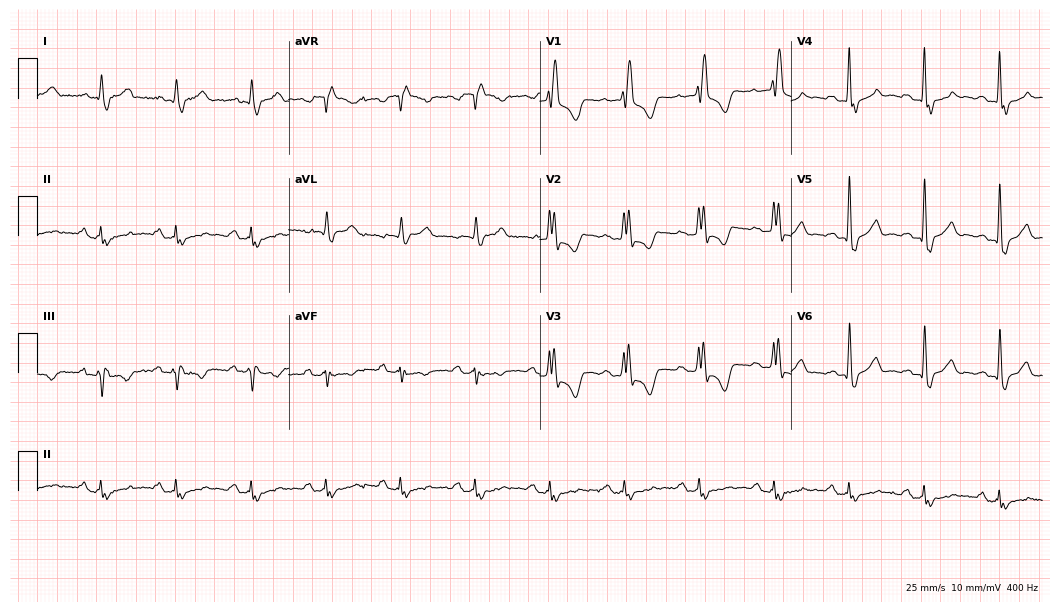
ECG — an 80-year-old male patient. Findings include right bundle branch block.